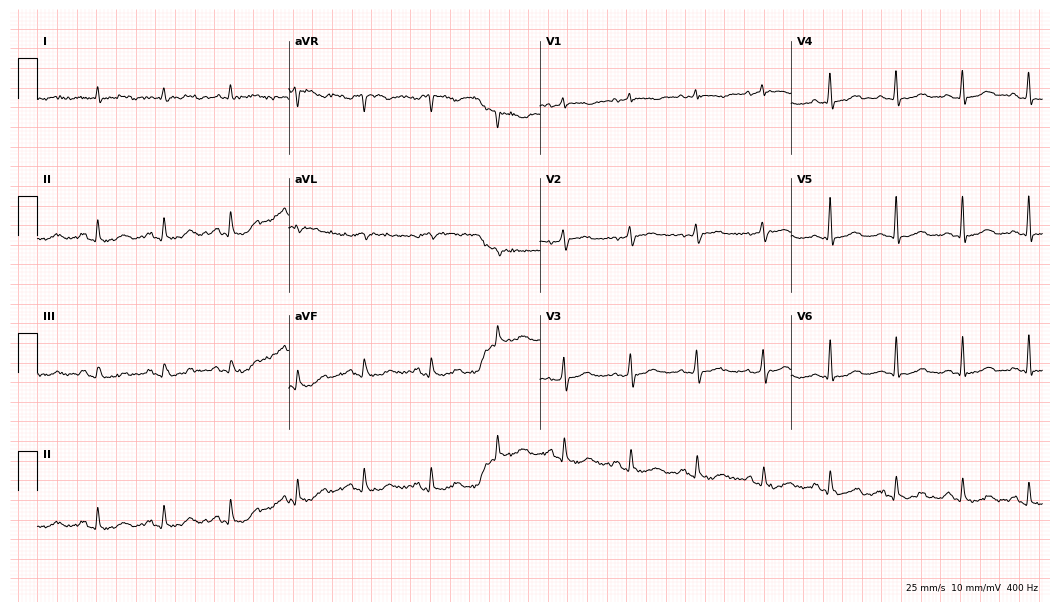
Standard 12-lead ECG recorded from an 85-year-old male patient. None of these six findings is recorded: first-degree AV block, right bundle branch block, left bundle branch block, sinus bradycardia, atrial fibrillation, sinus tachycardia. Findings outside these six are not listed.